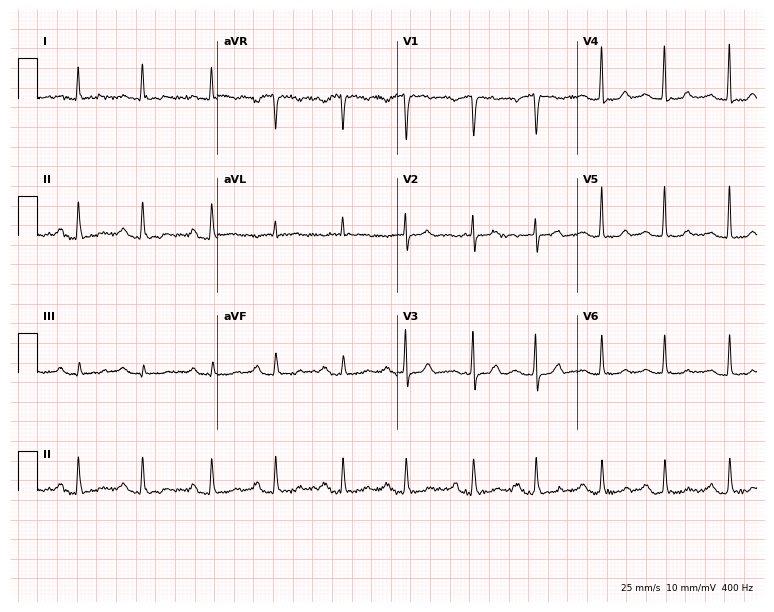
Resting 12-lead electrocardiogram (7.3-second recording at 400 Hz). Patient: an 80-year-old male. Read as a normal ECG.